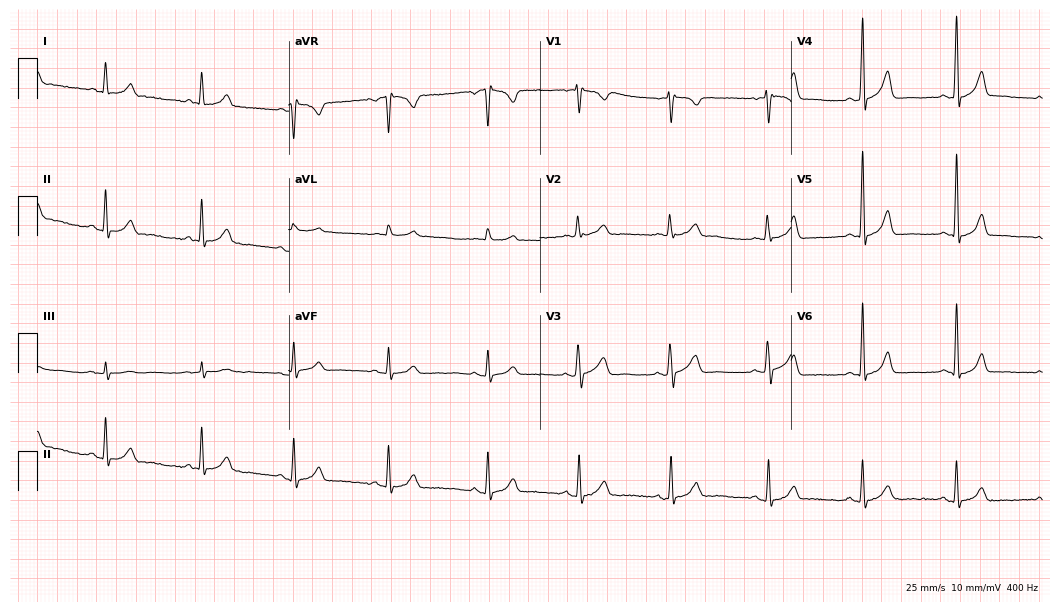
Electrocardiogram, a 61-year-old female patient. Overall reading on record: normal ECG.